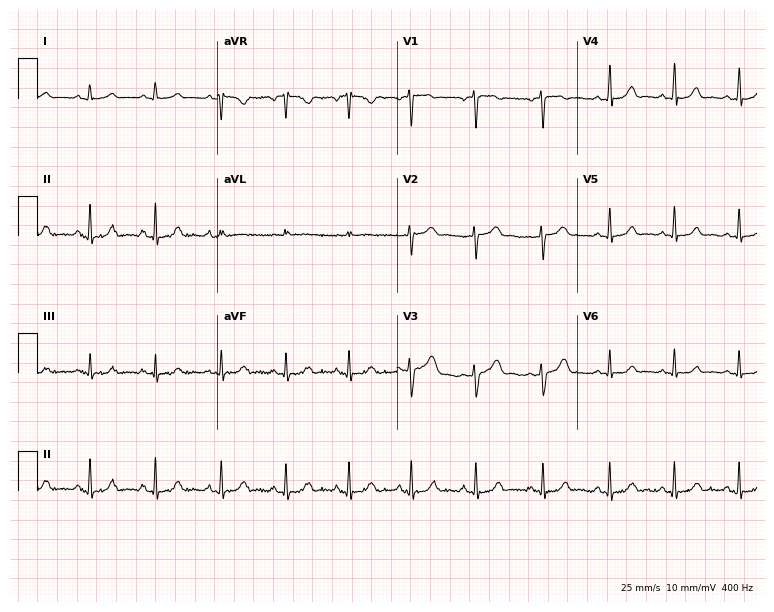
Standard 12-lead ECG recorded from a female patient, 39 years old. None of these six findings is recorded: first-degree AV block, right bundle branch block, left bundle branch block, sinus bradycardia, atrial fibrillation, sinus tachycardia.